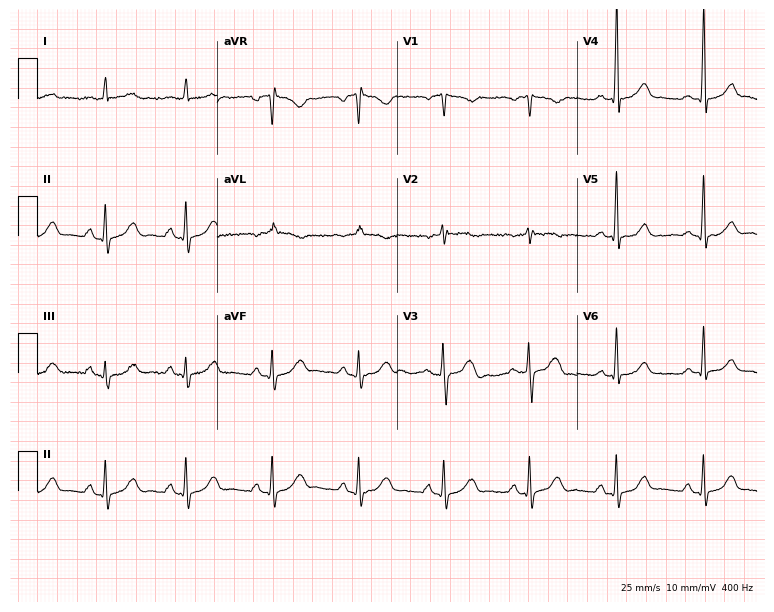
Resting 12-lead electrocardiogram (7.3-second recording at 400 Hz). Patient: a man, 58 years old. Read as a normal ECG.